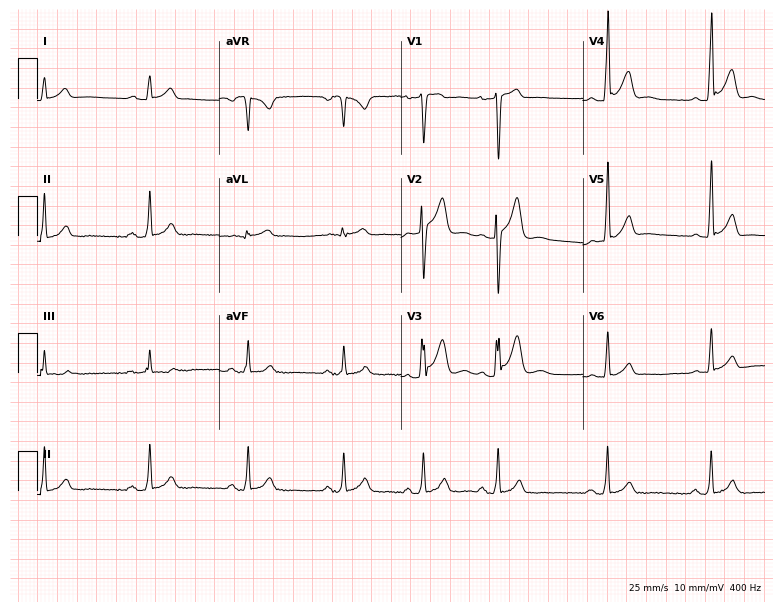
Standard 12-lead ECG recorded from a man, 25 years old. Read as a normal ECG.